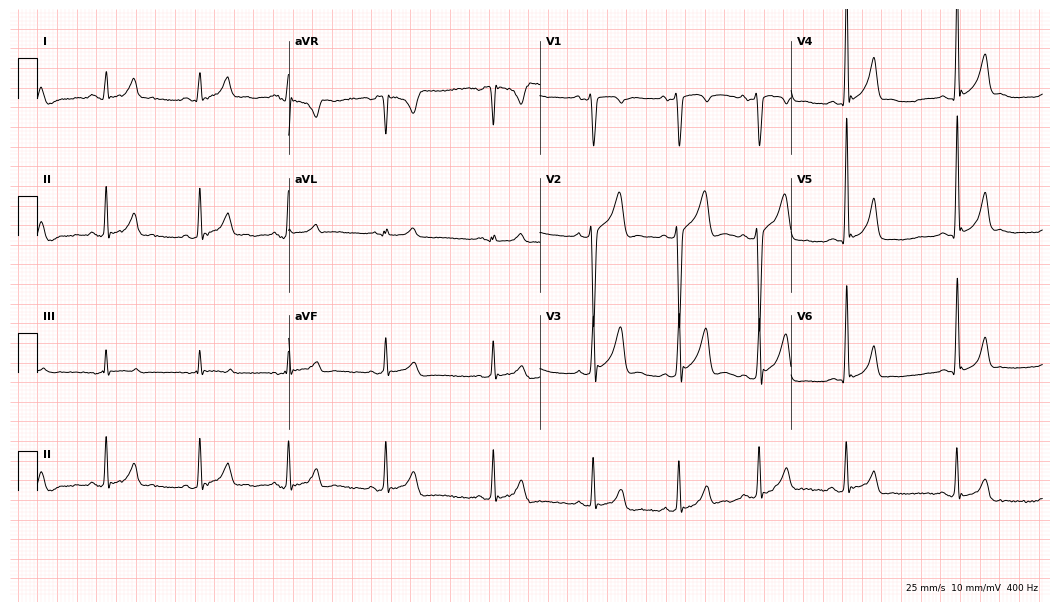
12-lead ECG from a 21-year-old male patient. Labelled as a normal ECG.